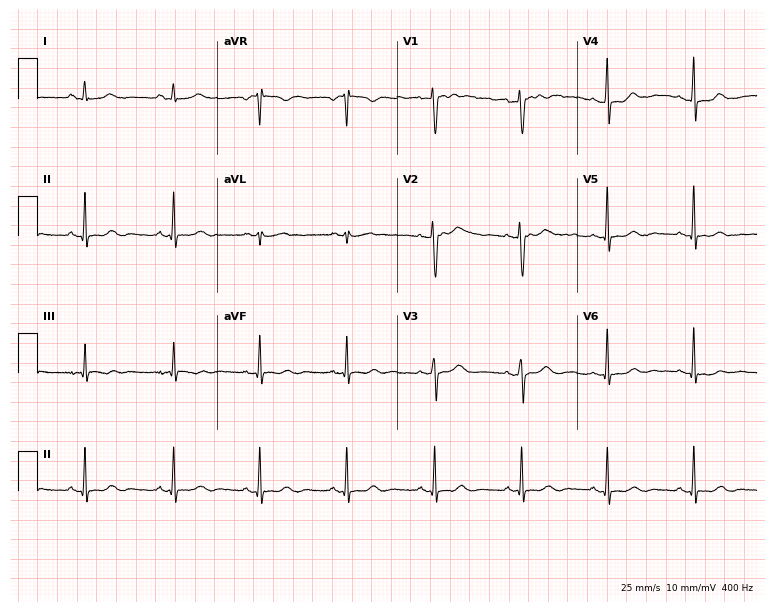
12-lead ECG from a female patient, 55 years old. No first-degree AV block, right bundle branch block, left bundle branch block, sinus bradycardia, atrial fibrillation or sinus tachycardia recorded for this tracing.